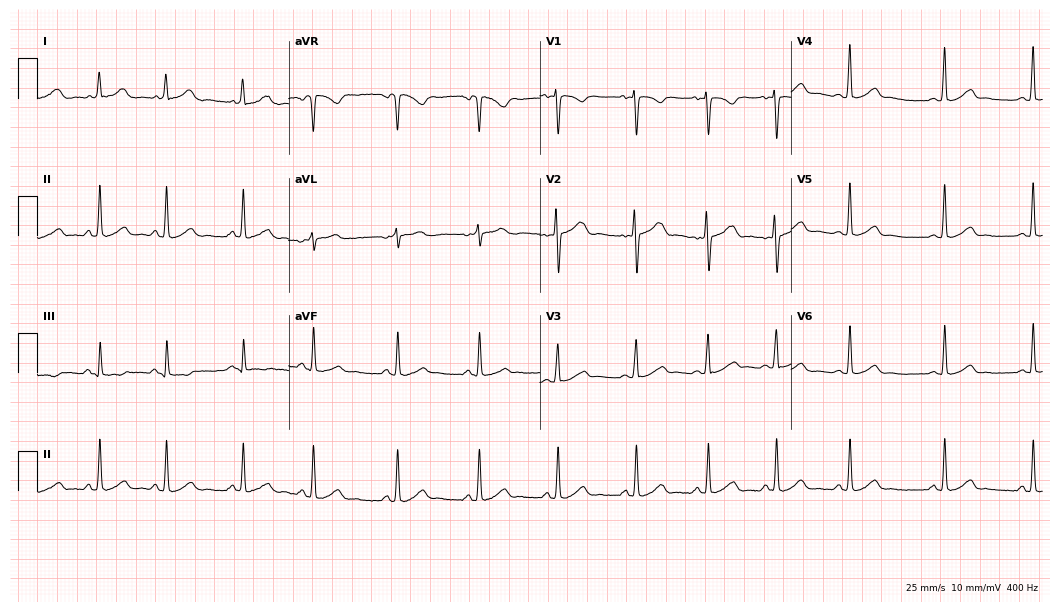
12-lead ECG (10.2-second recording at 400 Hz) from a female patient, 20 years old. Labelled as a normal ECG.